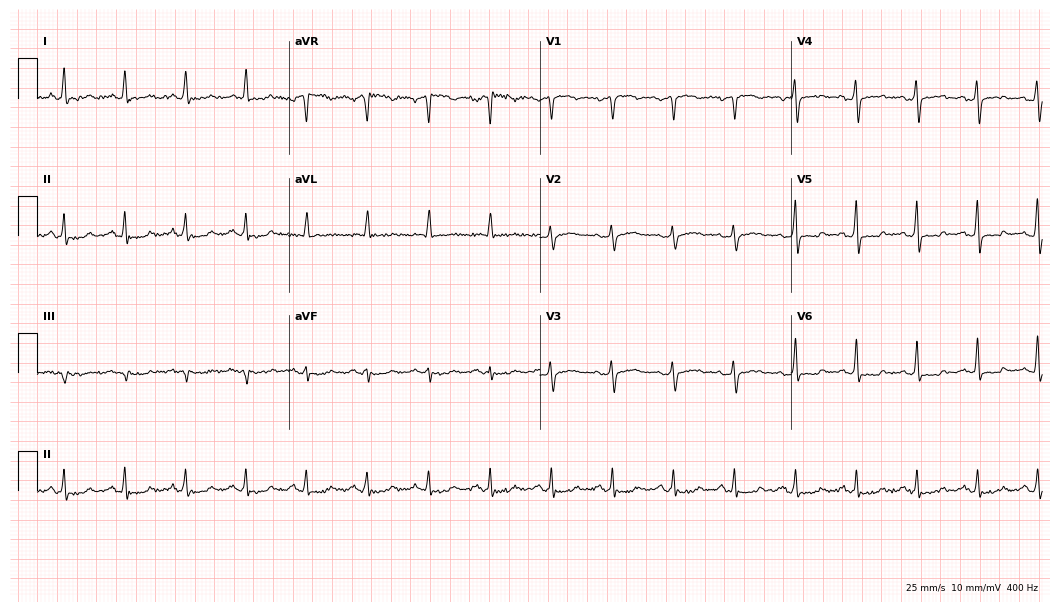
12-lead ECG from a 52-year-old male. Screened for six findings — first-degree AV block, right bundle branch block, left bundle branch block, sinus bradycardia, atrial fibrillation, sinus tachycardia — none is recorded.